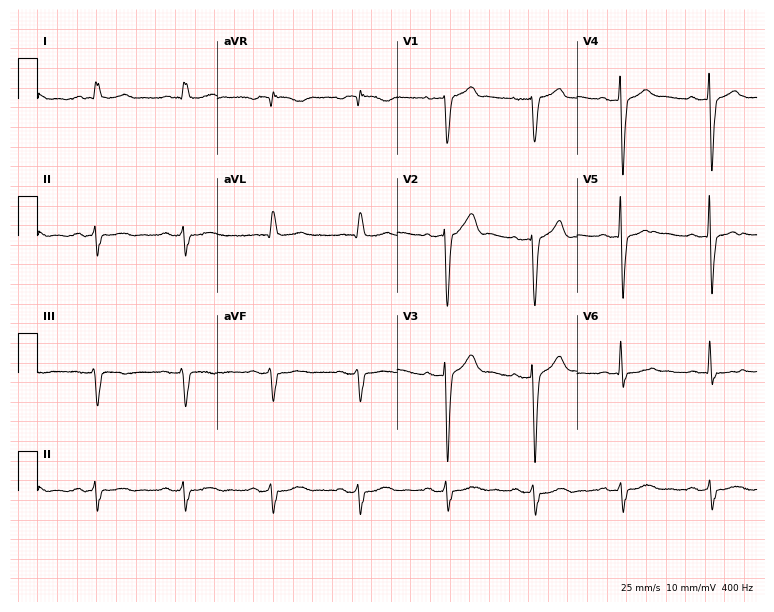
12-lead ECG (7.3-second recording at 400 Hz) from a 78-year-old male. Screened for six findings — first-degree AV block, right bundle branch block, left bundle branch block, sinus bradycardia, atrial fibrillation, sinus tachycardia — none is recorded. Only these six findings were labelled.